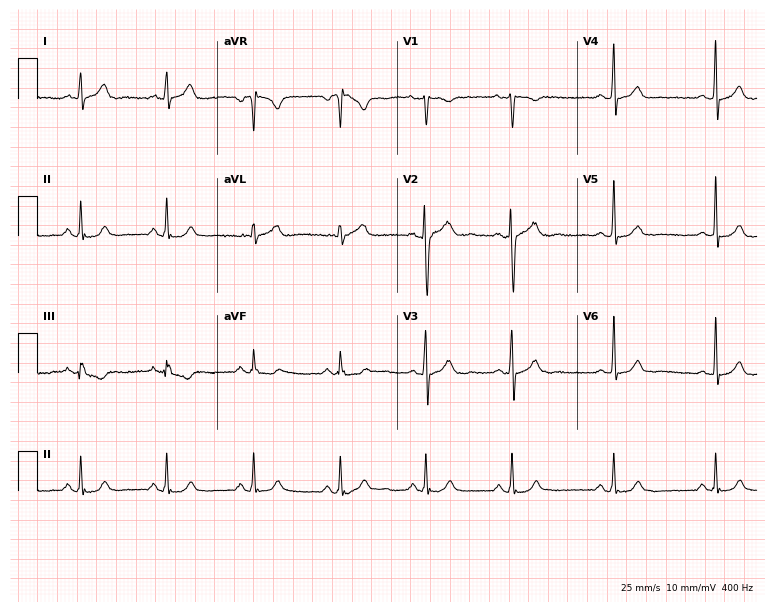
12-lead ECG from a 41-year-old man. Recorded interpretation: within normal limits.